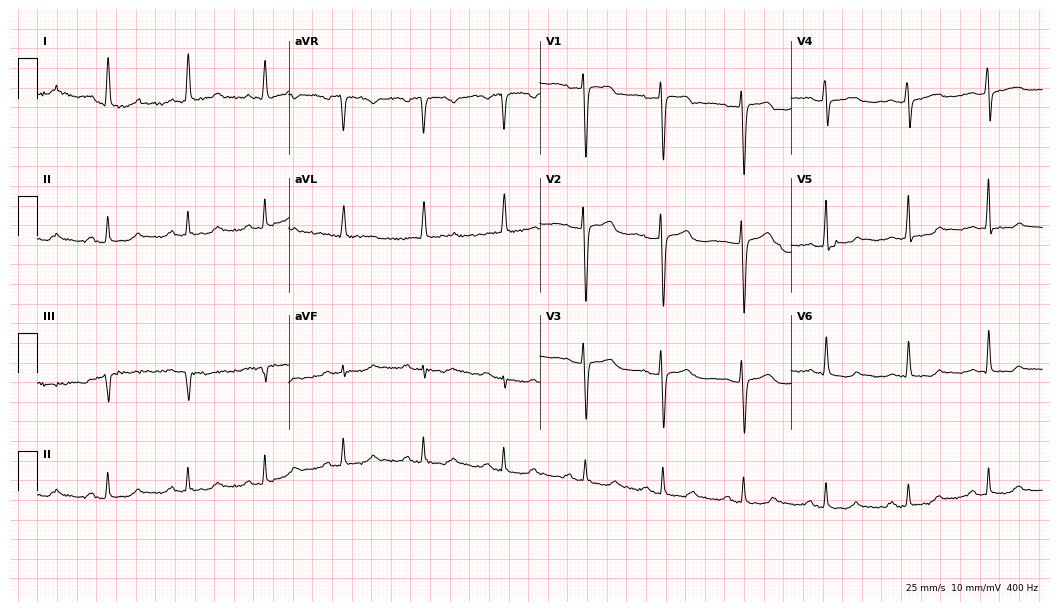
Standard 12-lead ECG recorded from a 61-year-old woman. Read as a normal ECG.